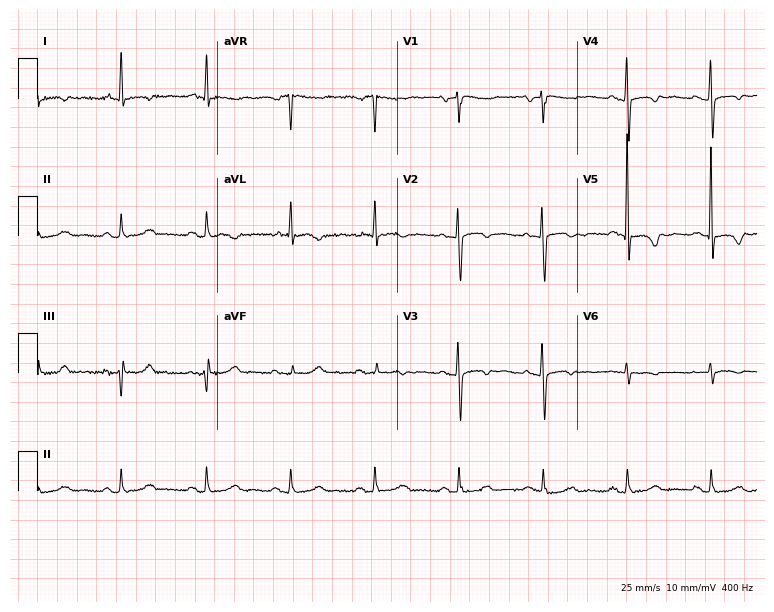
Resting 12-lead electrocardiogram (7.3-second recording at 400 Hz). Patient: an 84-year-old female. None of these six findings is recorded: first-degree AV block, right bundle branch block (RBBB), left bundle branch block (LBBB), sinus bradycardia, atrial fibrillation (AF), sinus tachycardia. Other findings, if any, are not listed.